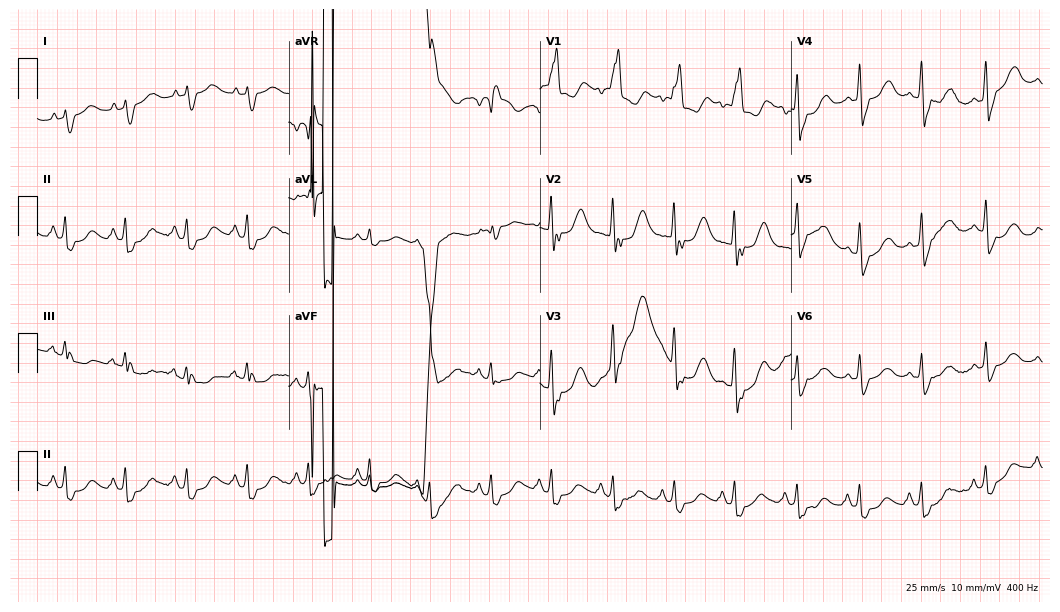
Electrocardiogram, a male, 73 years old. Interpretation includes right bundle branch block.